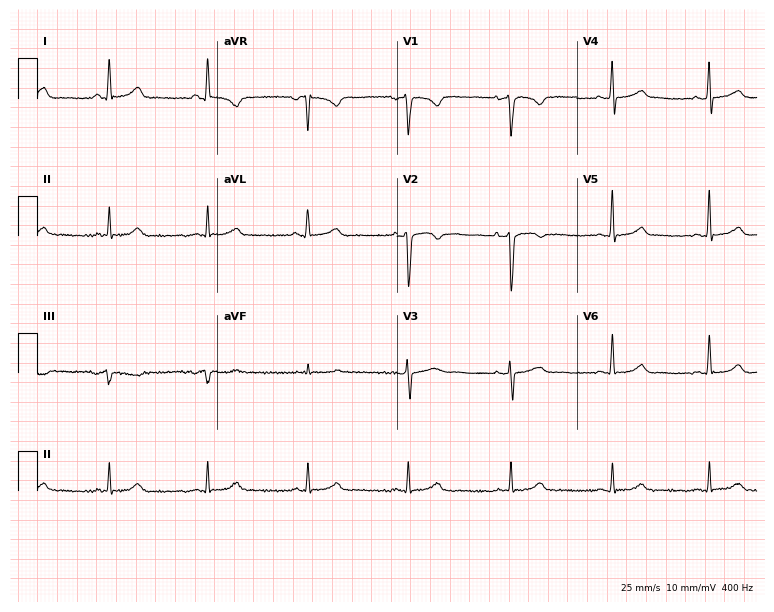
Standard 12-lead ECG recorded from a 48-year-old male (7.3-second recording at 400 Hz). Read as a normal ECG.